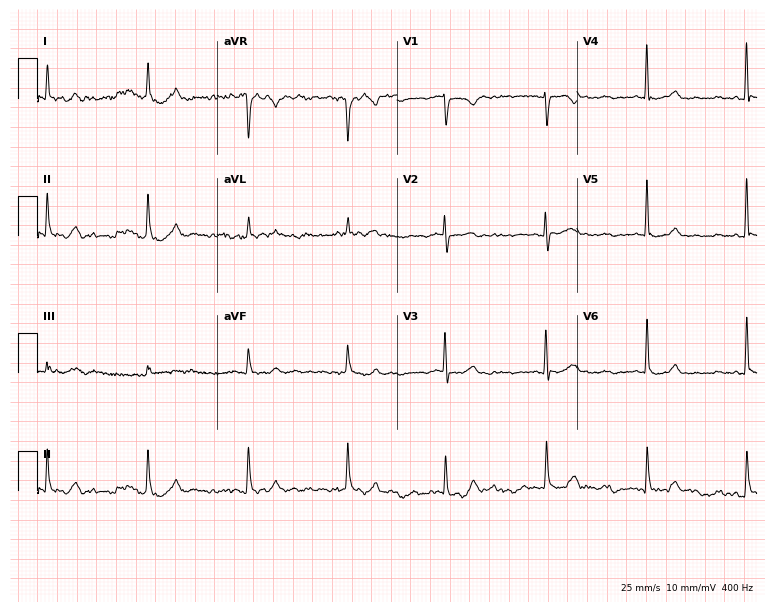
Standard 12-lead ECG recorded from a female, 71 years old. None of these six findings is recorded: first-degree AV block, right bundle branch block, left bundle branch block, sinus bradycardia, atrial fibrillation, sinus tachycardia. Other findings, if any, are not listed.